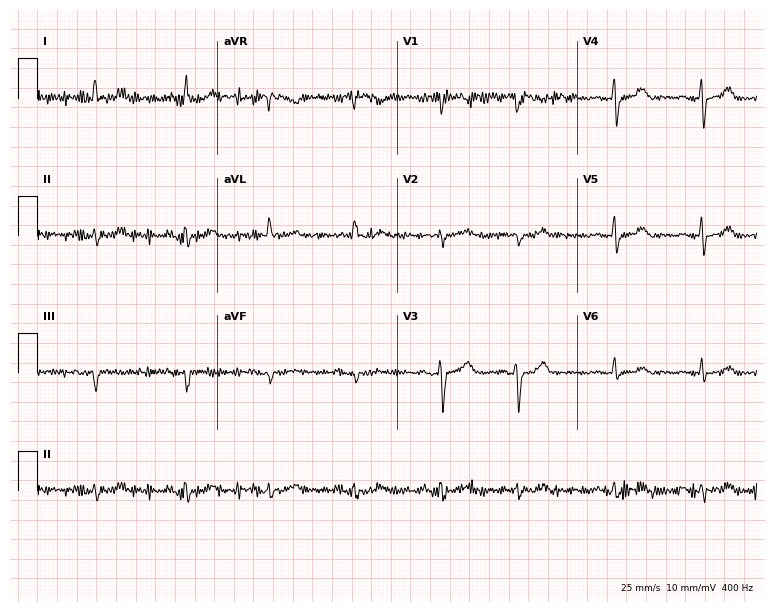
12-lead ECG from a 75-year-old female (7.3-second recording at 400 Hz). No first-degree AV block, right bundle branch block, left bundle branch block, sinus bradycardia, atrial fibrillation or sinus tachycardia recorded for this tracing. Findings outside these six are not listed.